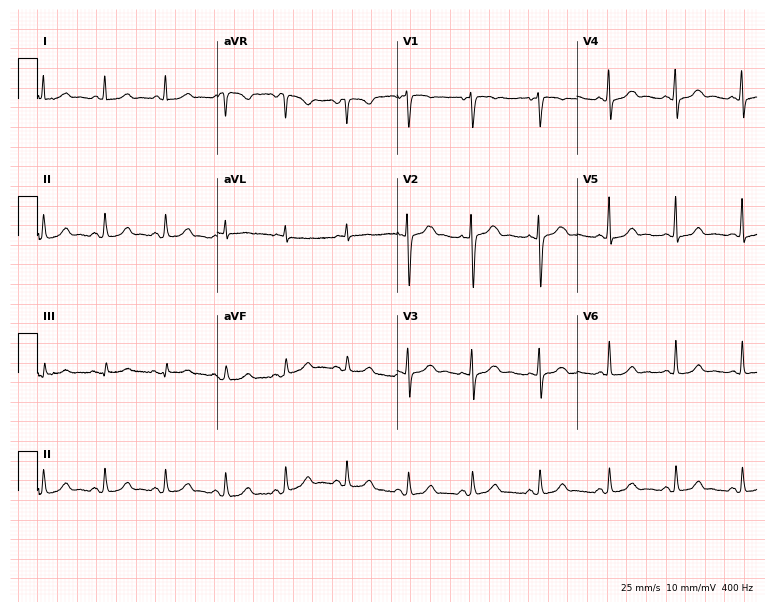
Resting 12-lead electrocardiogram. Patient: a female, 58 years old. Read as a normal ECG.